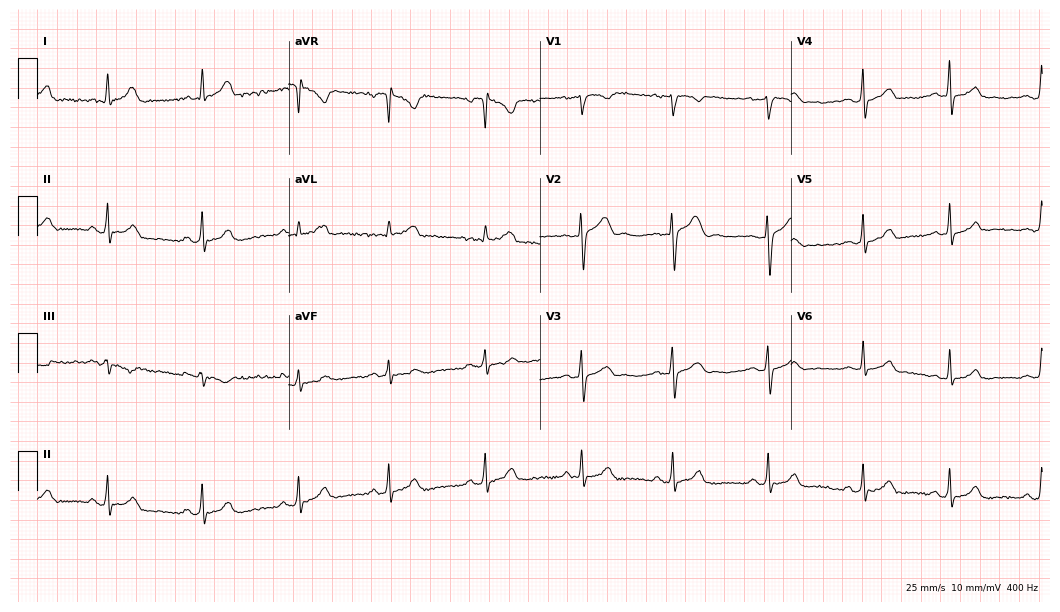
Electrocardiogram, a female aged 90 or older. Of the six screened findings (first-degree AV block, right bundle branch block, left bundle branch block, sinus bradycardia, atrial fibrillation, sinus tachycardia), none is recorded.